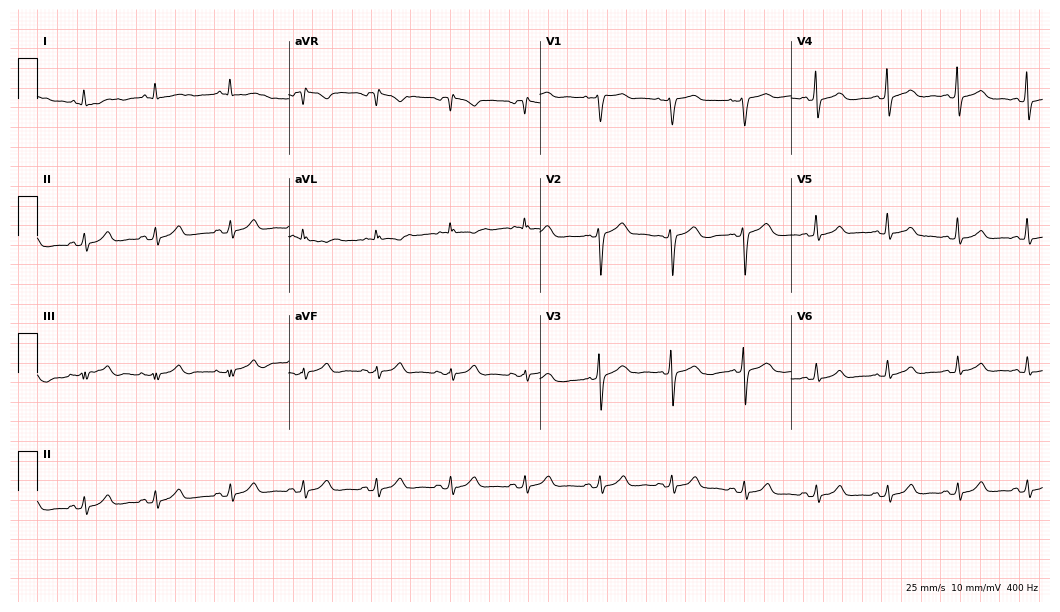
Resting 12-lead electrocardiogram (10.2-second recording at 400 Hz). Patient: a female, 61 years old. None of these six findings is recorded: first-degree AV block, right bundle branch block, left bundle branch block, sinus bradycardia, atrial fibrillation, sinus tachycardia.